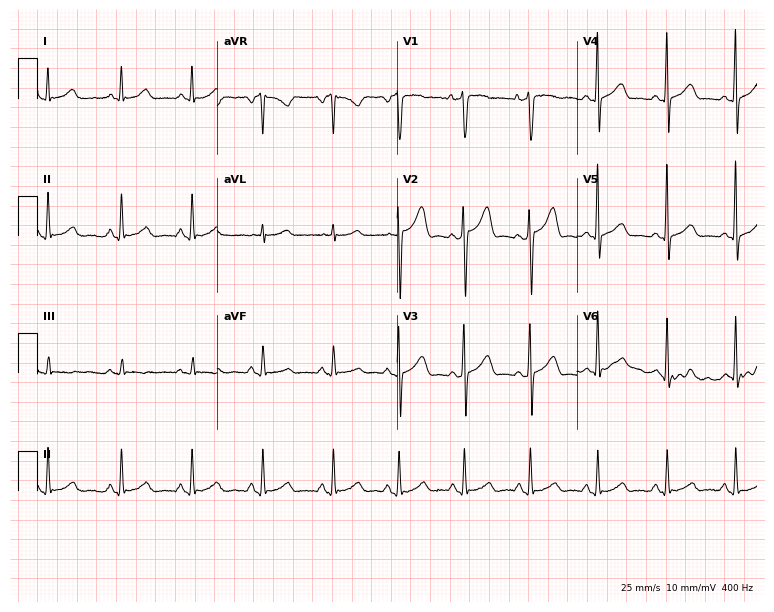
Electrocardiogram (7.3-second recording at 400 Hz), a male patient, 40 years old. Of the six screened findings (first-degree AV block, right bundle branch block, left bundle branch block, sinus bradycardia, atrial fibrillation, sinus tachycardia), none is recorded.